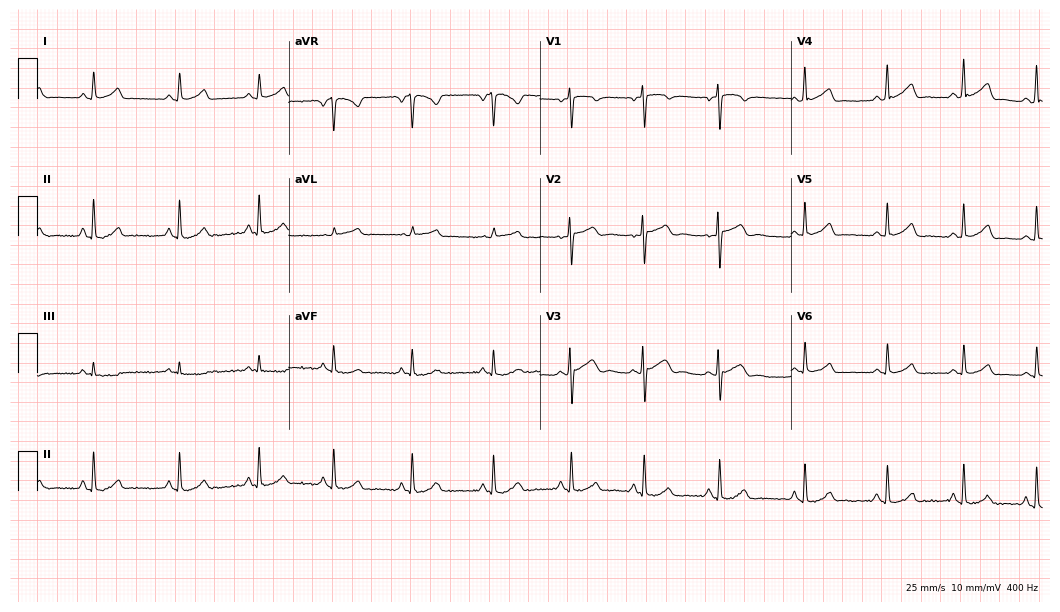
12-lead ECG from a 21-year-old woman. Labelled as a normal ECG.